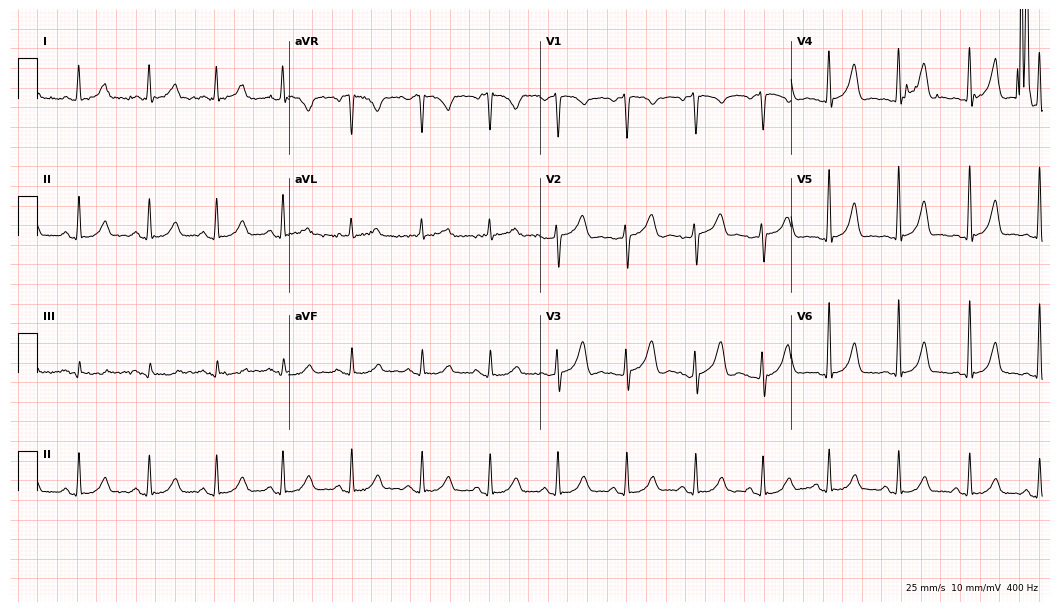
ECG — a 40-year-old woman. Labelled as a normal ECG.